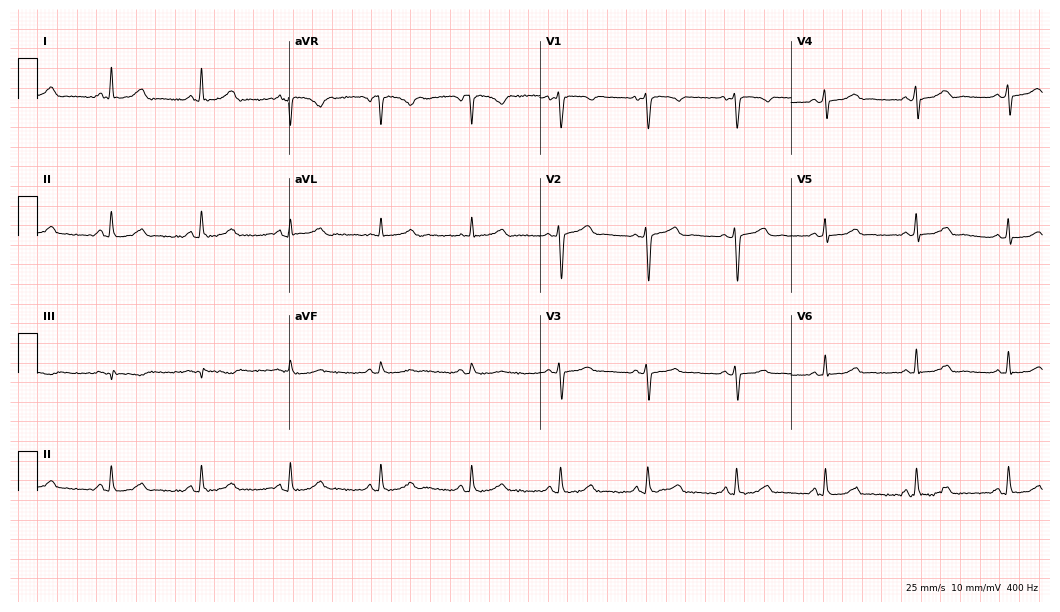
Resting 12-lead electrocardiogram (10.2-second recording at 400 Hz). Patient: a 32-year-old woman. None of these six findings is recorded: first-degree AV block, right bundle branch block, left bundle branch block, sinus bradycardia, atrial fibrillation, sinus tachycardia. Other findings, if any, are not listed.